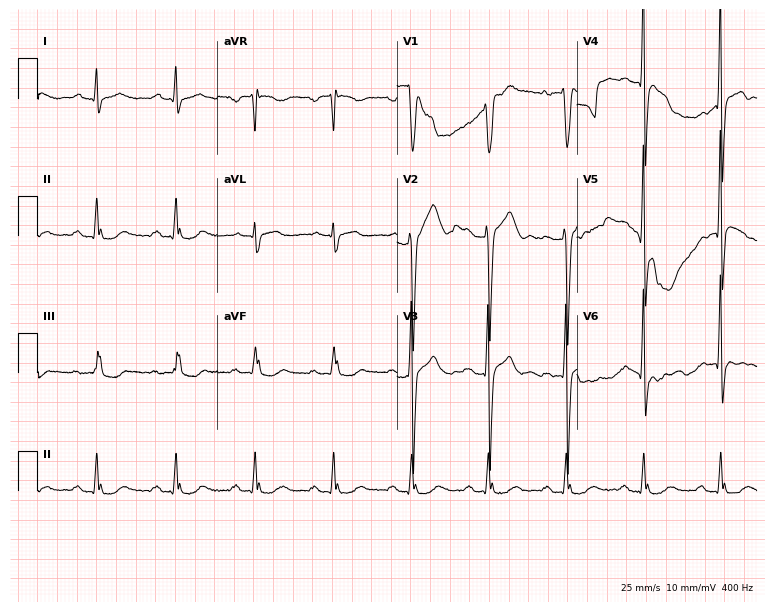
Standard 12-lead ECG recorded from a 53-year-old male. None of these six findings is recorded: first-degree AV block, right bundle branch block (RBBB), left bundle branch block (LBBB), sinus bradycardia, atrial fibrillation (AF), sinus tachycardia.